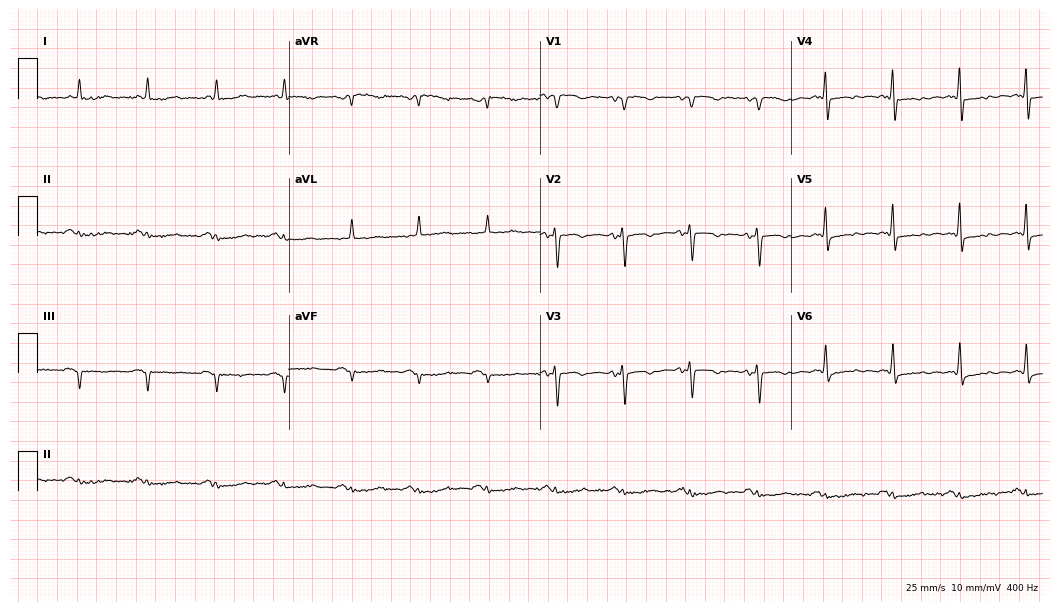
Electrocardiogram, an 80-year-old female patient. Of the six screened findings (first-degree AV block, right bundle branch block, left bundle branch block, sinus bradycardia, atrial fibrillation, sinus tachycardia), none is recorded.